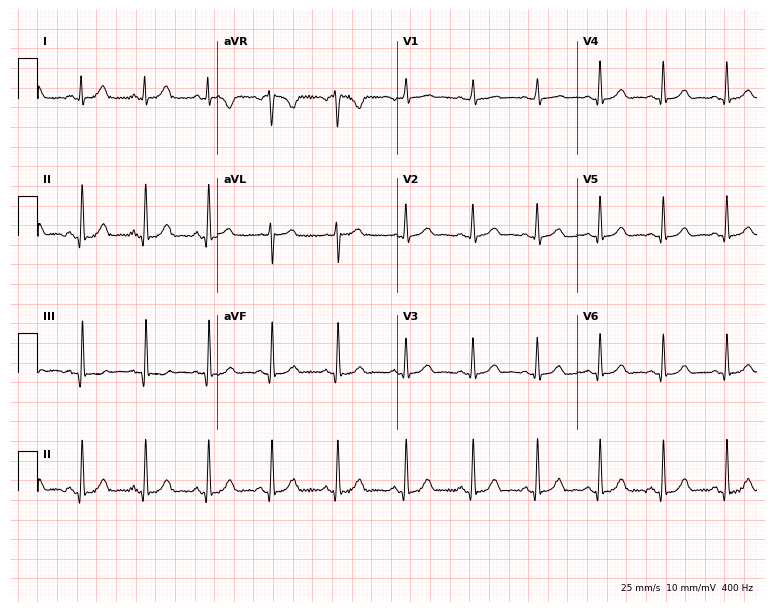
ECG — a 31-year-old woman. Screened for six findings — first-degree AV block, right bundle branch block, left bundle branch block, sinus bradycardia, atrial fibrillation, sinus tachycardia — none is recorded.